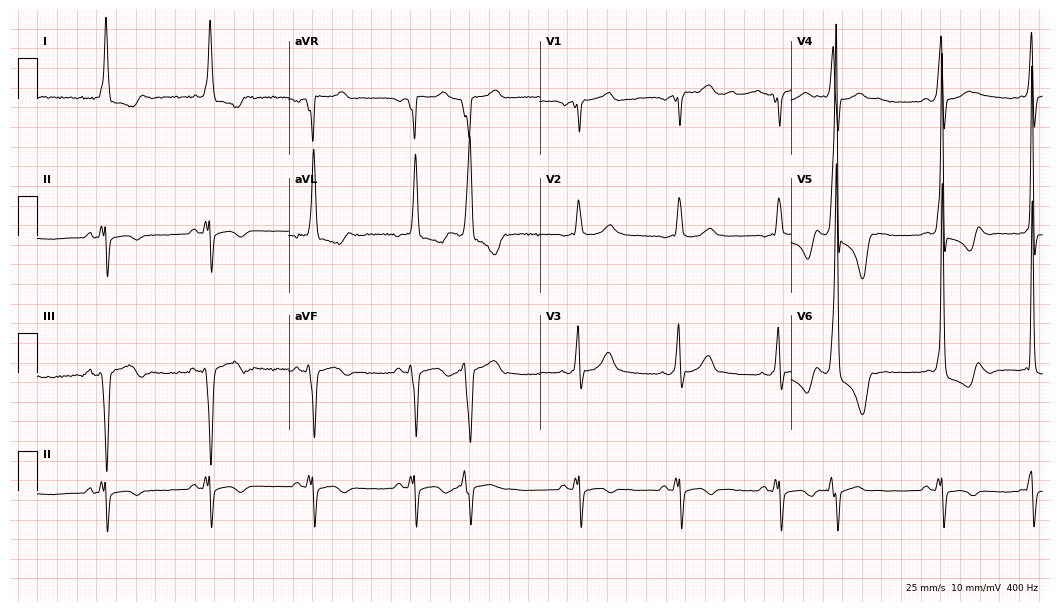
12-lead ECG from a 63-year-old man. No first-degree AV block, right bundle branch block, left bundle branch block, sinus bradycardia, atrial fibrillation or sinus tachycardia recorded for this tracing.